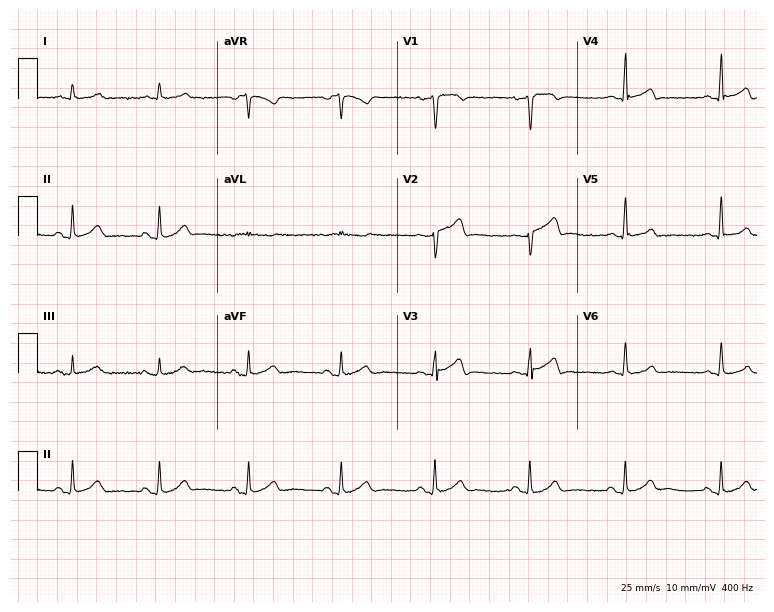
12-lead ECG from a 66-year-old man (7.3-second recording at 400 Hz). Recorded interpretation: within normal limits.